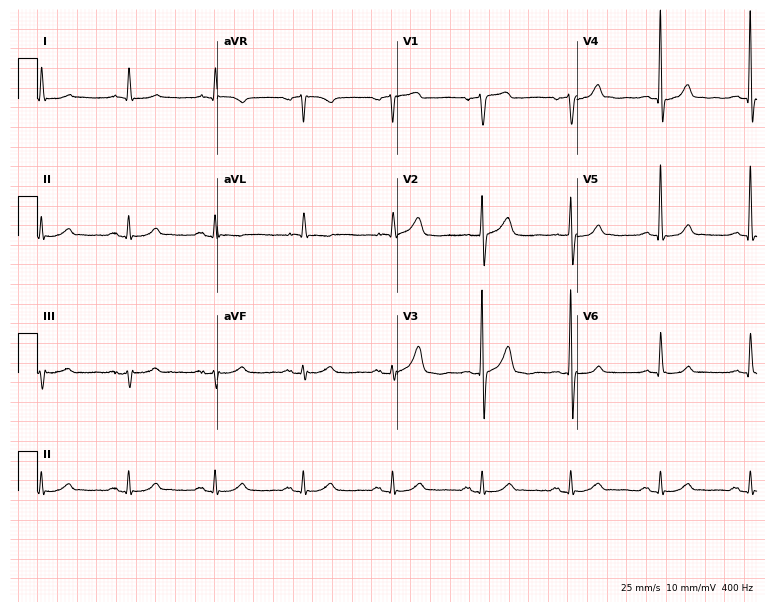
Standard 12-lead ECG recorded from a male, 84 years old (7.3-second recording at 400 Hz). Read as a normal ECG.